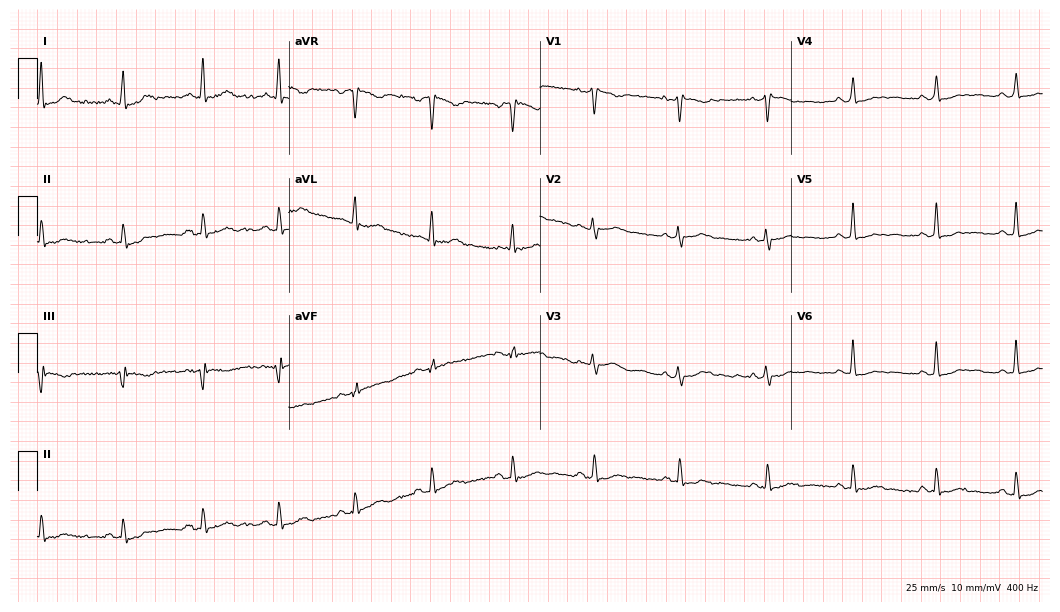
Electrocardiogram, a woman, 46 years old. Overall reading on record: normal ECG.